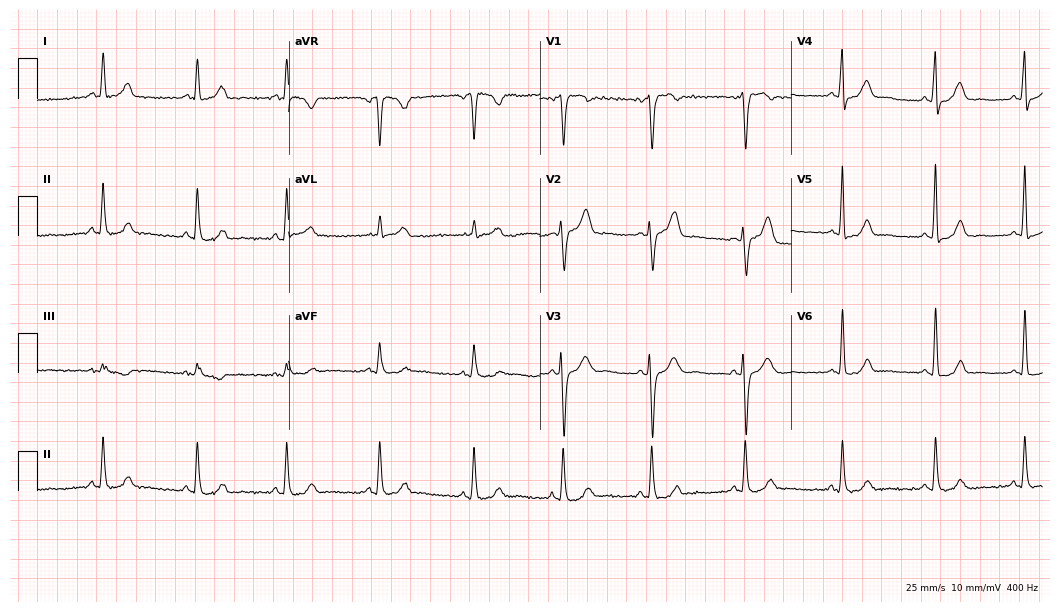
Electrocardiogram (10.2-second recording at 400 Hz), a 54-year-old female patient. Of the six screened findings (first-degree AV block, right bundle branch block, left bundle branch block, sinus bradycardia, atrial fibrillation, sinus tachycardia), none is recorded. Other findings, if any, are not listed.